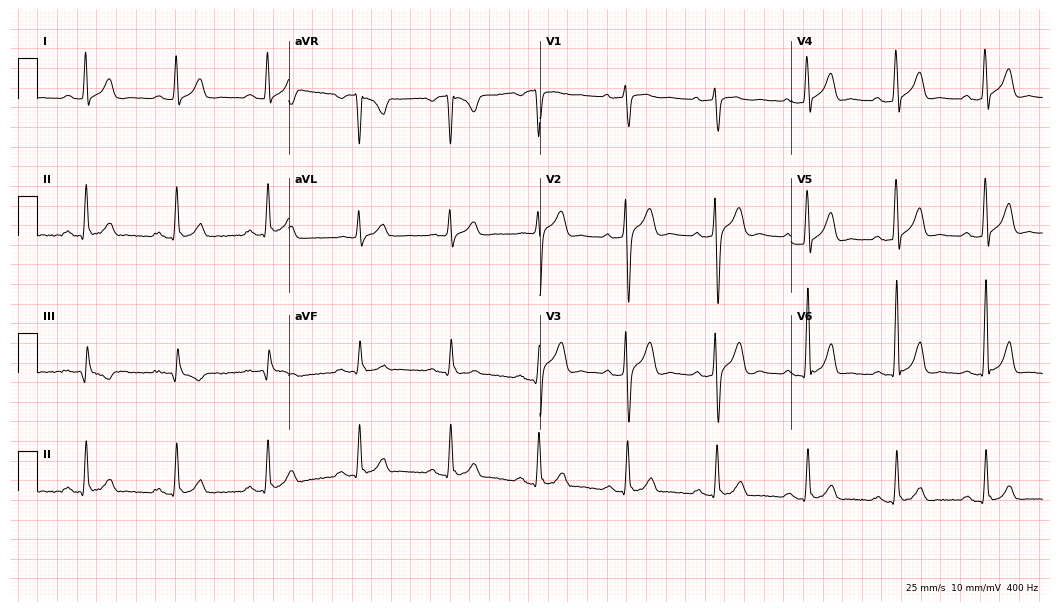
Electrocardiogram (10.2-second recording at 400 Hz), a male patient, 35 years old. Of the six screened findings (first-degree AV block, right bundle branch block, left bundle branch block, sinus bradycardia, atrial fibrillation, sinus tachycardia), none is recorded.